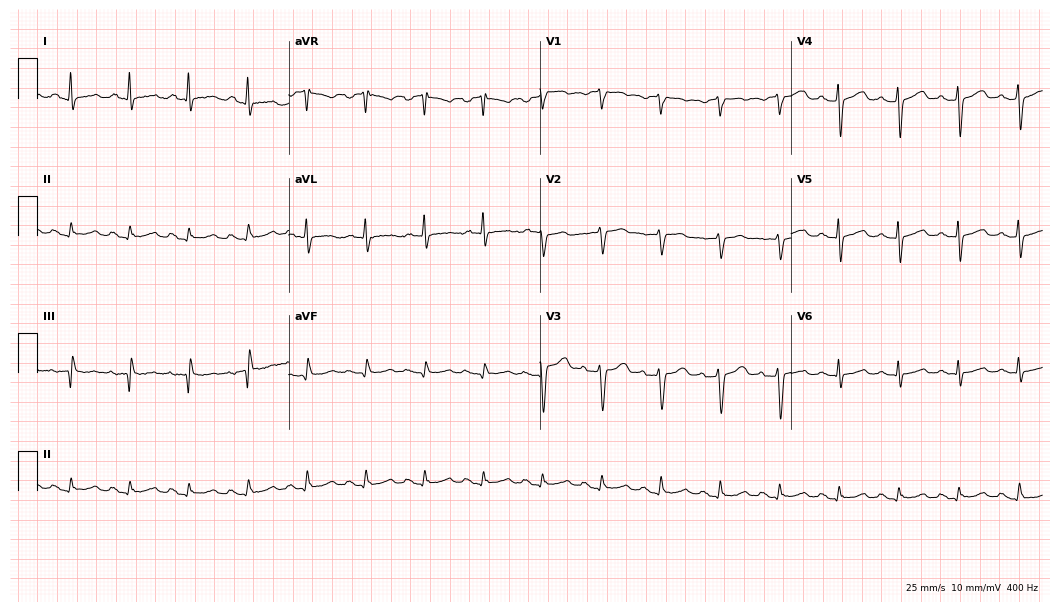
12-lead ECG from a female patient, 56 years old. Labelled as a normal ECG.